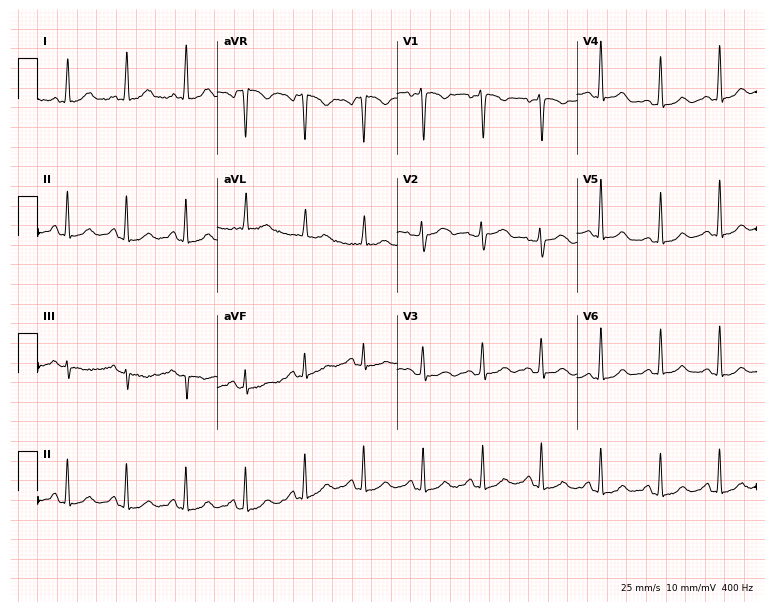
ECG — a woman, 42 years old. Screened for six findings — first-degree AV block, right bundle branch block (RBBB), left bundle branch block (LBBB), sinus bradycardia, atrial fibrillation (AF), sinus tachycardia — none is recorded. Other findings, if any, are not listed.